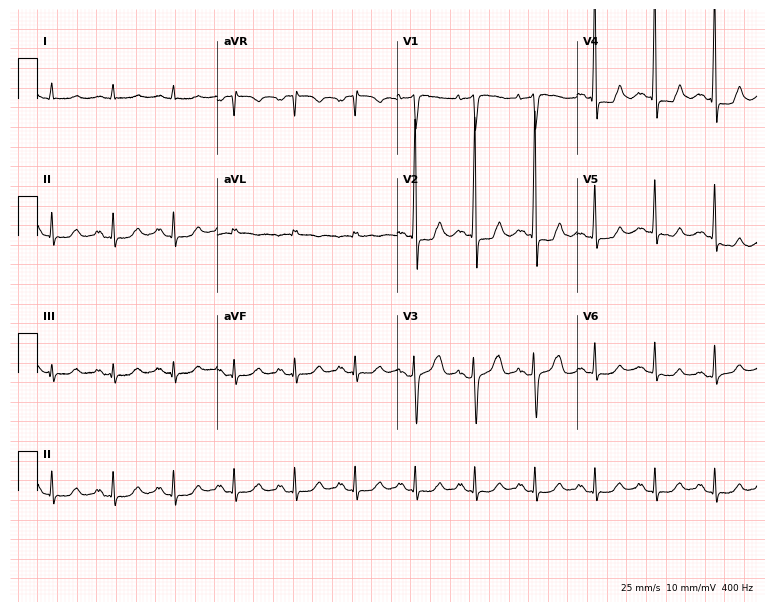
Electrocardiogram, a female patient, 64 years old. Overall reading on record: normal ECG.